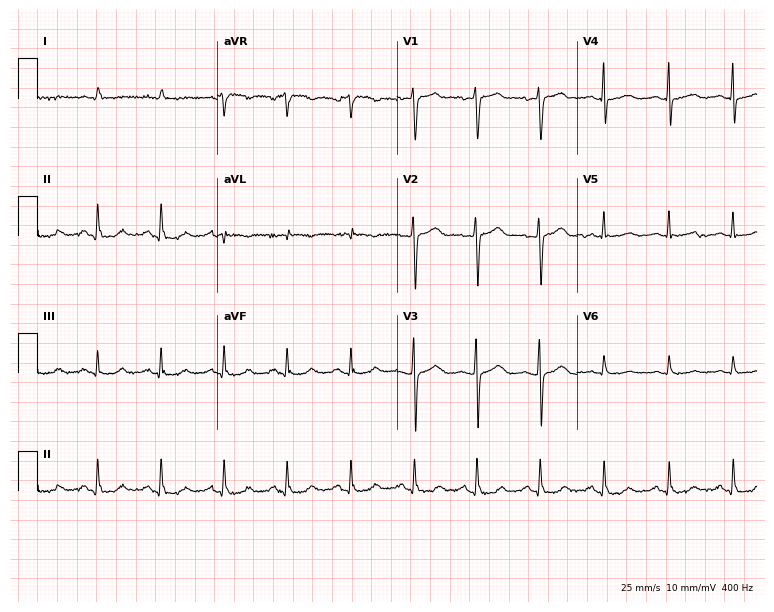
ECG — a female patient, 59 years old. Screened for six findings — first-degree AV block, right bundle branch block (RBBB), left bundle branch block (LBBB), sinus bradycardia, atrial fibrillation (AF), sinus tachycardia — none is recorded. Findings outside these six are not listed.